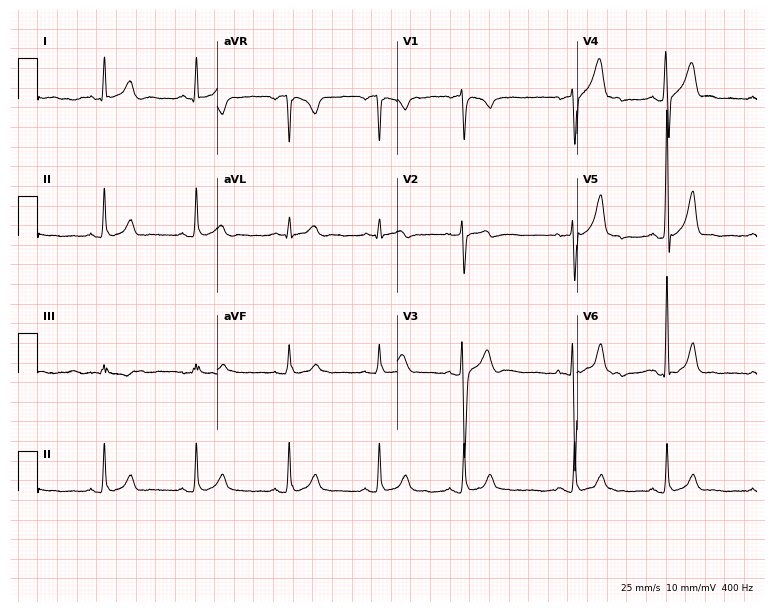
Standard 12-lead ECG recorded from a 33-year-old male. Read as a normal ECG.